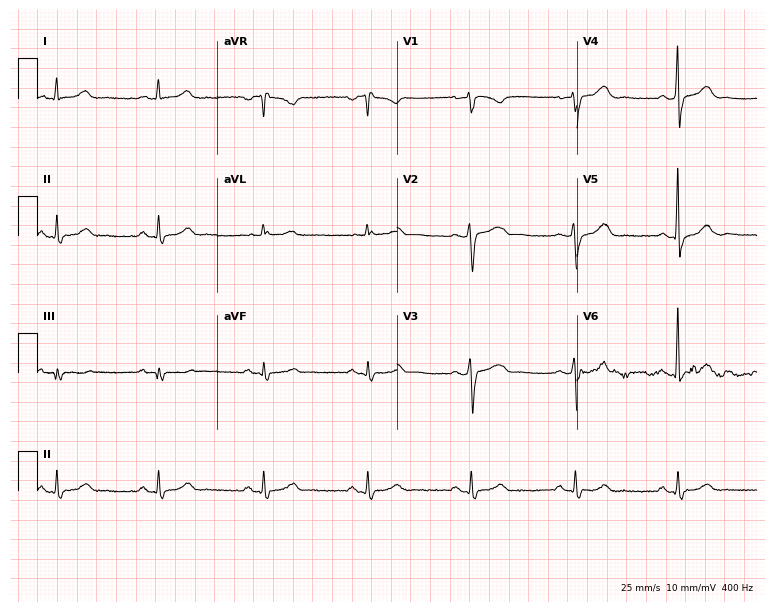
ECG — a 48-year-old male. Labelled as a normal ECG.